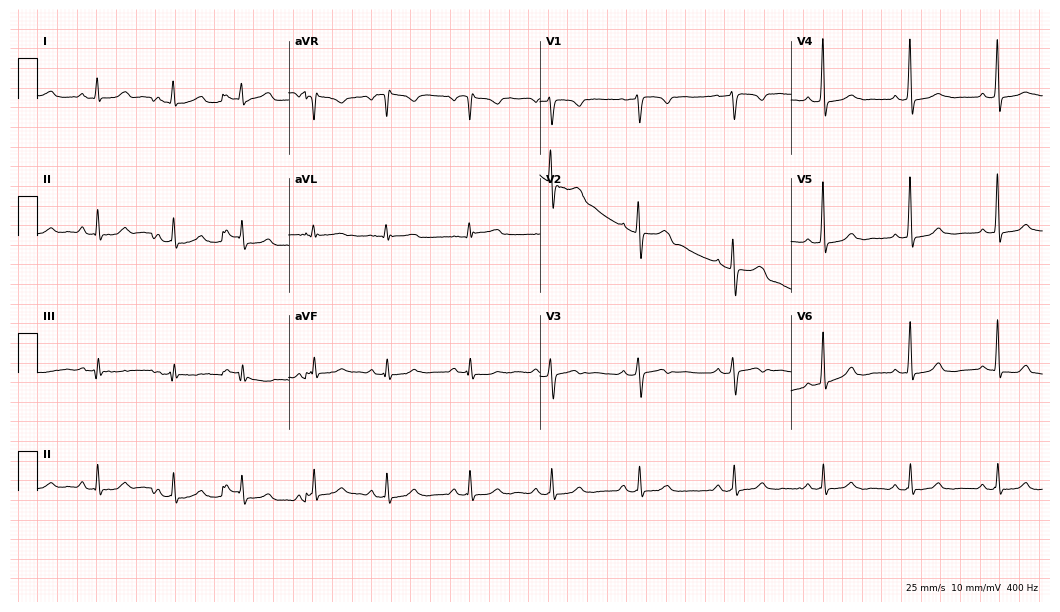
12-lead ECG from a 20-year-old woman. Recorded interpretation: within normal limits.